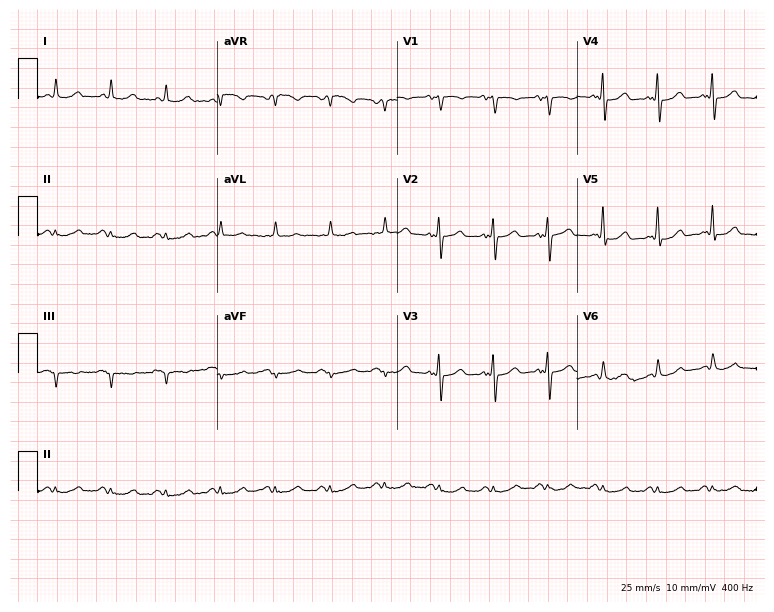
ECG — a female, 78 years old. Findings include sinus tachycardia (a sinus rate of 100 beats per minute or more).